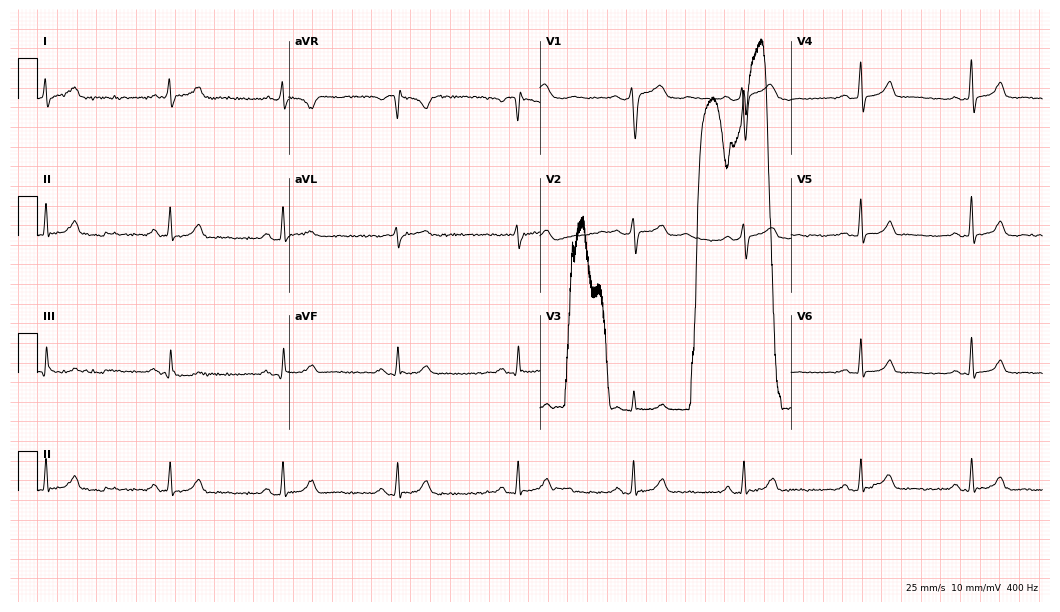
Resting 12-lead electrocardiogram (10.2-second recording at 400 Hz). Patient: a female, 54 years old. Read as a normal ECG.